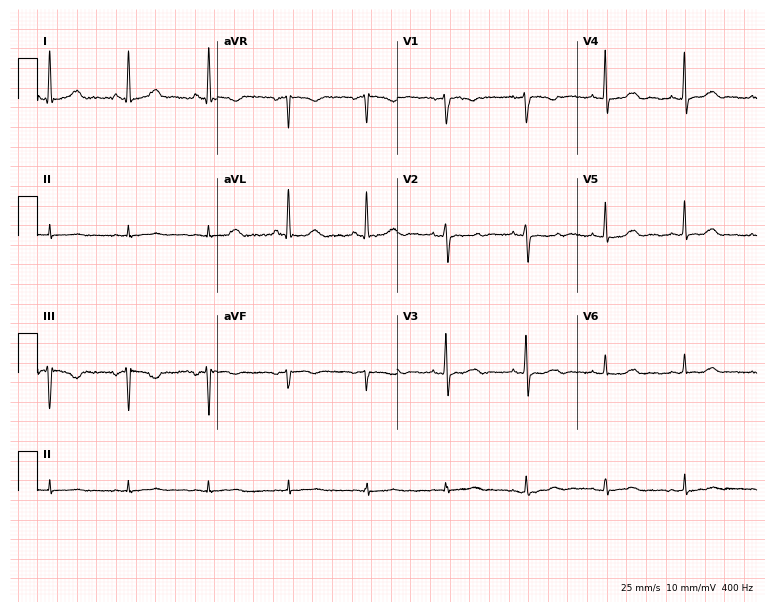
12-lead ECG from an 80-year-old woman. Screened for six findings — first-degree AV block, right bundle branch block, left bundle branch block, sinus bradycardia, atrial fibrillation, sinus tachycardia — none is recorded. Only these six findings were labelled.